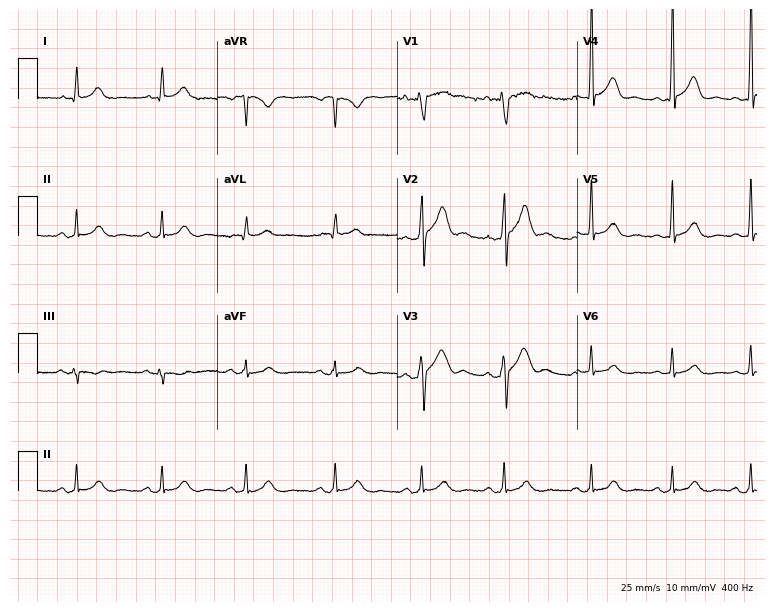
Resting 12-lead electrocardiogram. Patient: a 39-year-old male. Read as a normal ECG.